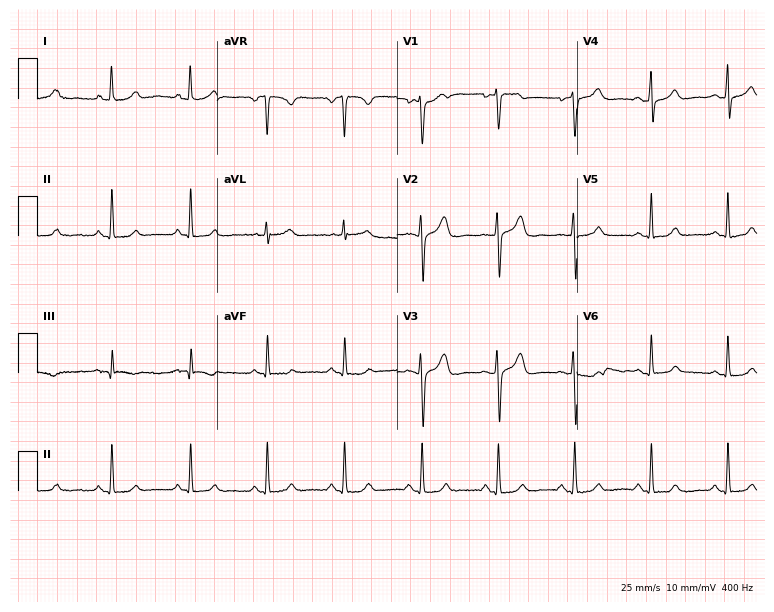
12-lead ECG from a 54-year-old female. Recorded interpretation: within normal limits.